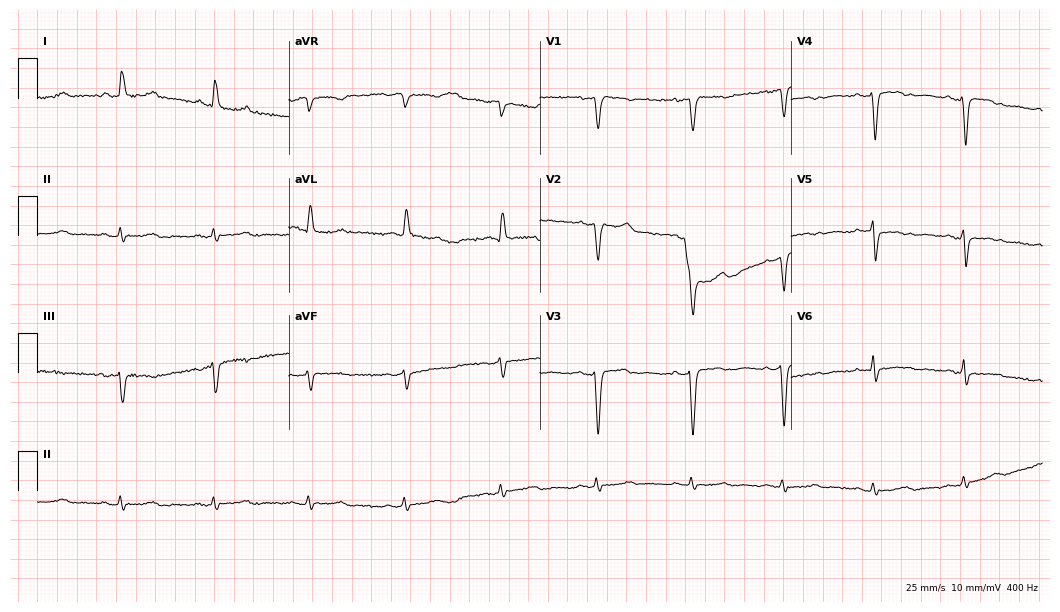
Standard 12-lead ECG recorded from a 65-year-old woman (10.2-second recording at 400 Hz). None of these six findings is recorded: first-degree AV block, right bundle branch block, left bundle branch block, sinus bradycardia, atrial fibrillation, sinus tachycardia. Other findings, if any, are not listed.